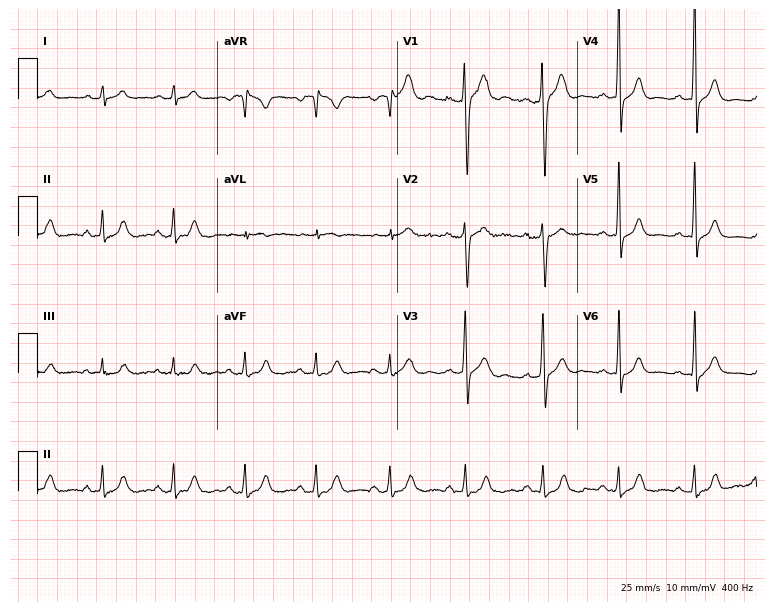
12-lead ECG from a 25-year-old male. No first-degree AV block, right bundle branch block (RBBB), left bundle branch block (LBBB), sinus bradycardia, atrial fibrillation (AF) or sinus tachycardia recorded for this tracing. Only these six findings were labelled.